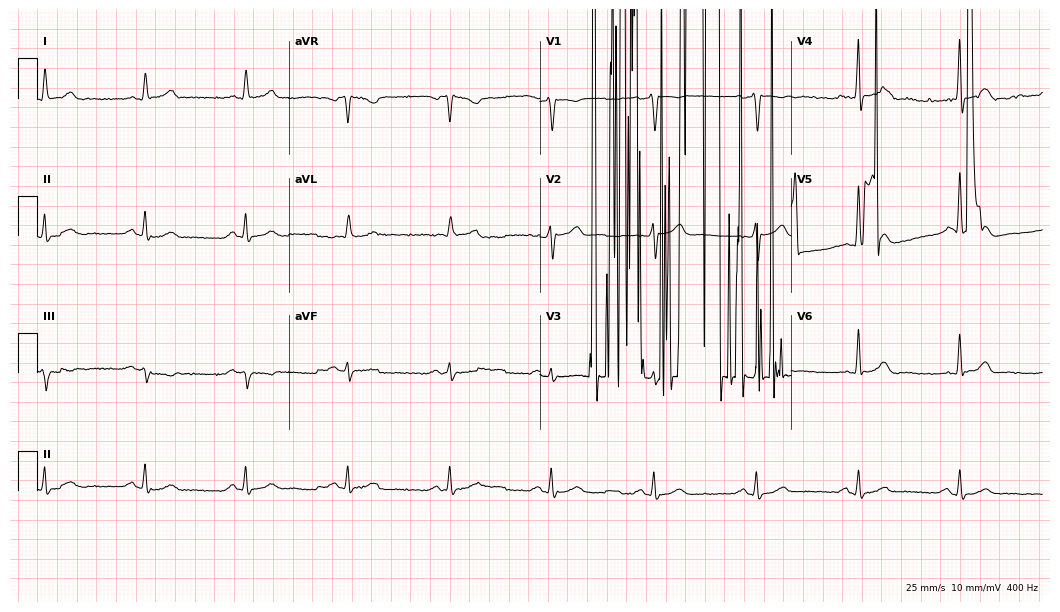
Standard 12-lead ECG recorded from a man, 77 years old. None of these six findings is recorded: first-degree AV block, right bundle branch block, left bundle branch block, sinus bradycardia, atrial fibrillation, sinus tachycardia.